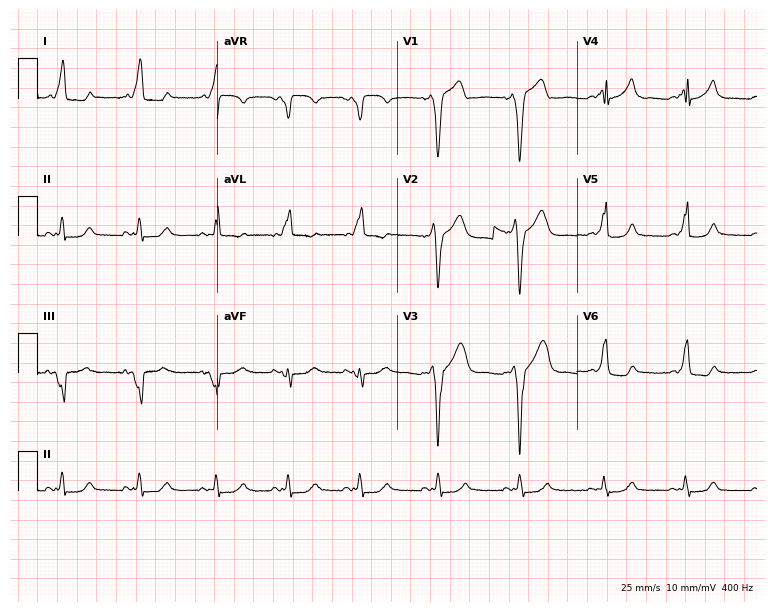
12-lead ECG from a female, 39 years old. Screened for six findings — first-degree AV block, right bundle branch block, left bundle branch block, sinus bradycardia, atrial fibrillation, sinus tachycardia — none is recorded. Other findings, if any, are not listed.